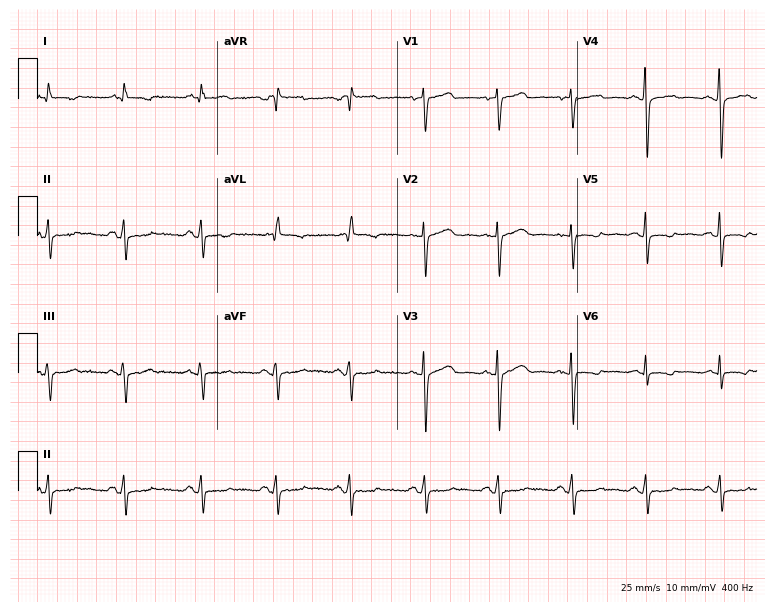
ECG (7.3-second recording at 400 Hz) — a female, 55 years old. Screened for six findings — first-degree AV block, right bundle branch block, left bundle branch block, sinus bradycardia, atrial fibrillation, sinus tachycardia — none is recorded. Findings outside these six are not listed.